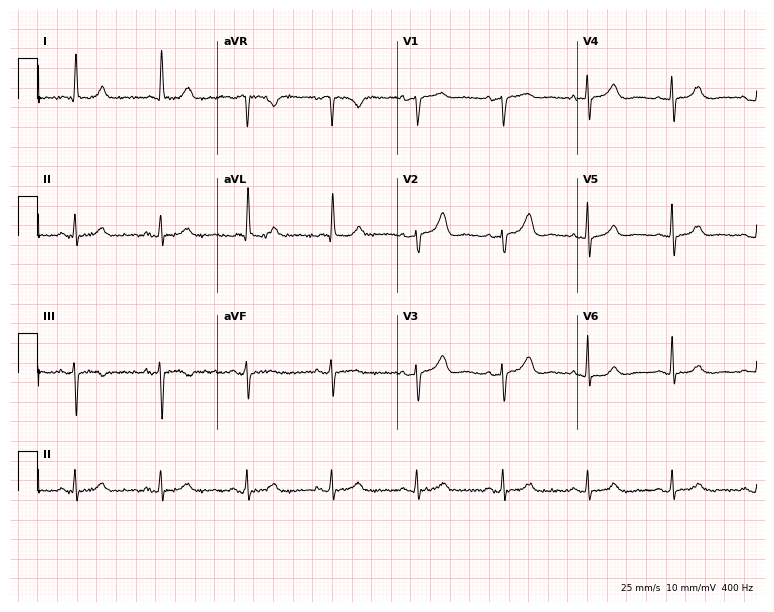
Electrocardiogram (7.3-second recording at 400 Hz), an 85-year-old female. Overall reading on record: normal ECG.